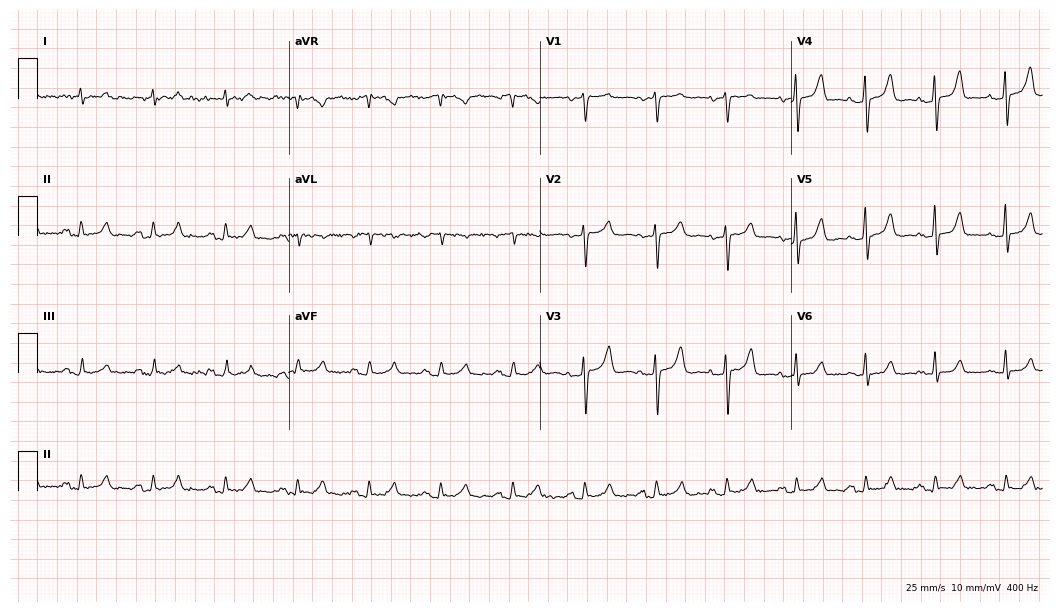
Electrocardiogram (10.2-second recording at 400 Hz), a 49-year-old man. Of the six screened findings (first-degree AV block, right bundle branch block, left bundle branch block, sinus bradycardia, atrial fibrillation, sinus tachycardia), none is recorded. Other findings, if any, are not listed.